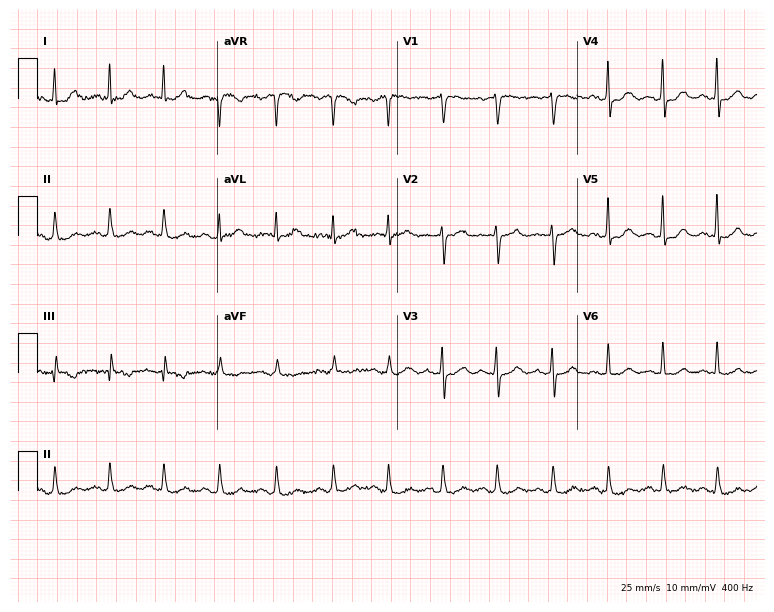
Standard 12-lead ECG recorded from a woman, 50 years old. The tracing shows sinus tachycardia (a sinus rate of 100 beats per minute or more).